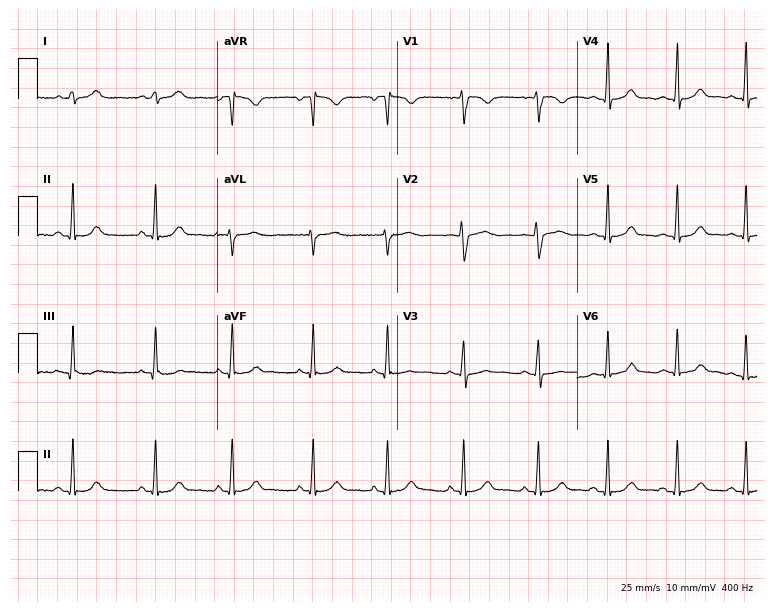
12-lead ECG (7.3-second recording at 400 Hz) from a female, 19 years old. Labelled as a normal ECG.